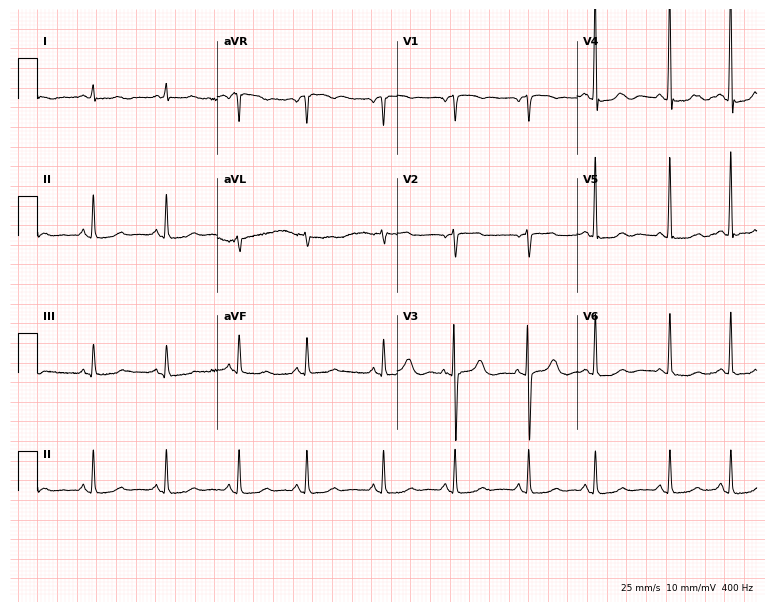
Electrocardiogram, a woman, 80 years old. Of the six screened findings (first-degree AV block, right bundle branch block, left bundle branch block, sinus bradycardia, atrial fibrillation, sinus tachycardia), none is recorded.